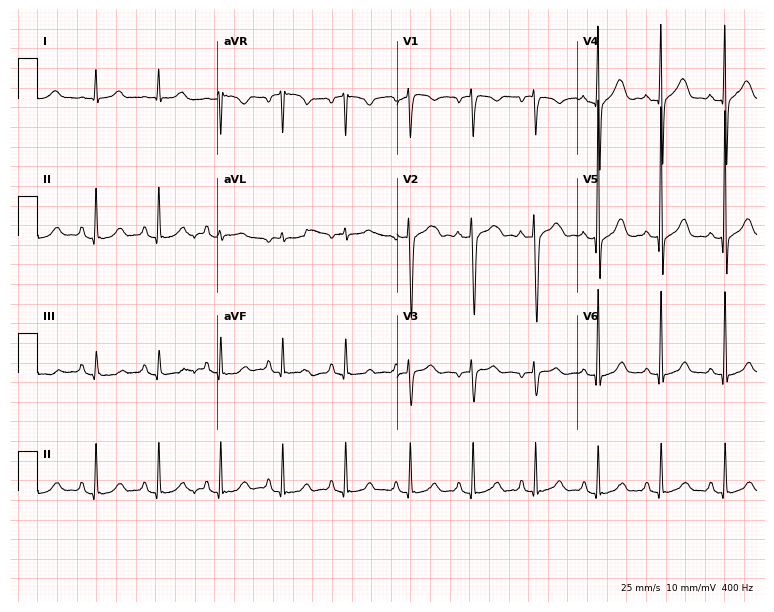
Electrocardiogram, a man, 55 years old. Overall reading on record: normal ECG.